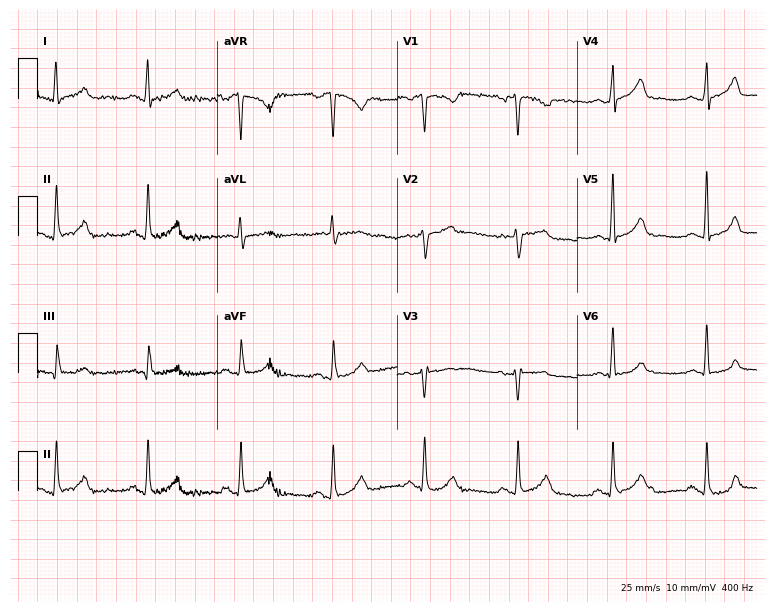
ECG — a male, 56 years old. Labelled as a normal ECG.